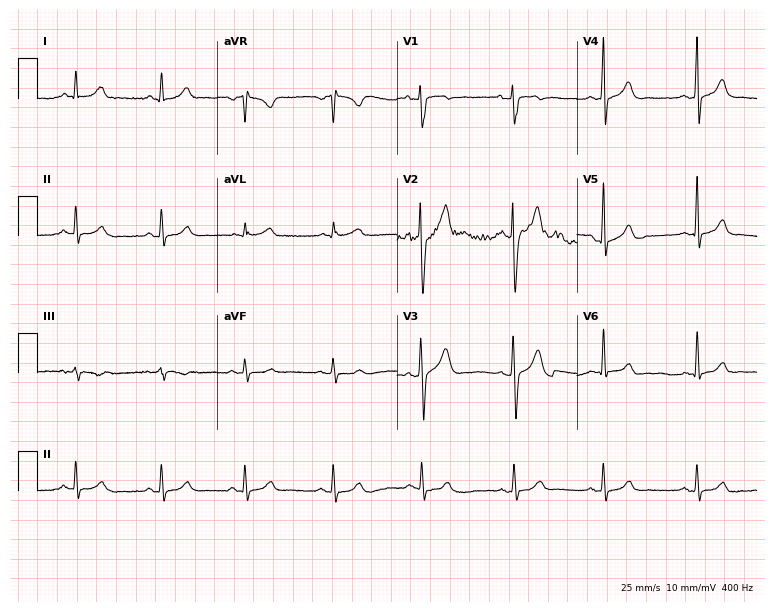
Resting 12-lead electrocardiogram. Patient: a male, 32 years old. Read as a normal ECG.